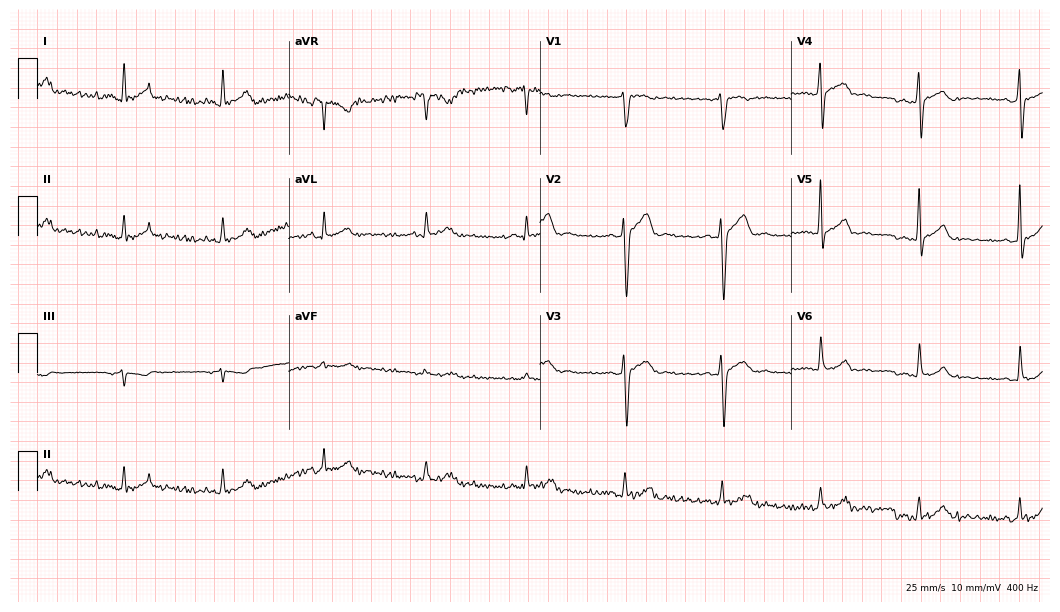
Resting 12-lead electrocardiogram. Patient: a man, 35 years old. None of these six findings is recorded: first-degree AV block, right bundle branch block (RBBB), left bundle branch block (LBBB), sinus bradycardia, atrial fibrillation (AF), sinus tachycardia. Findings outside these six are not listed.